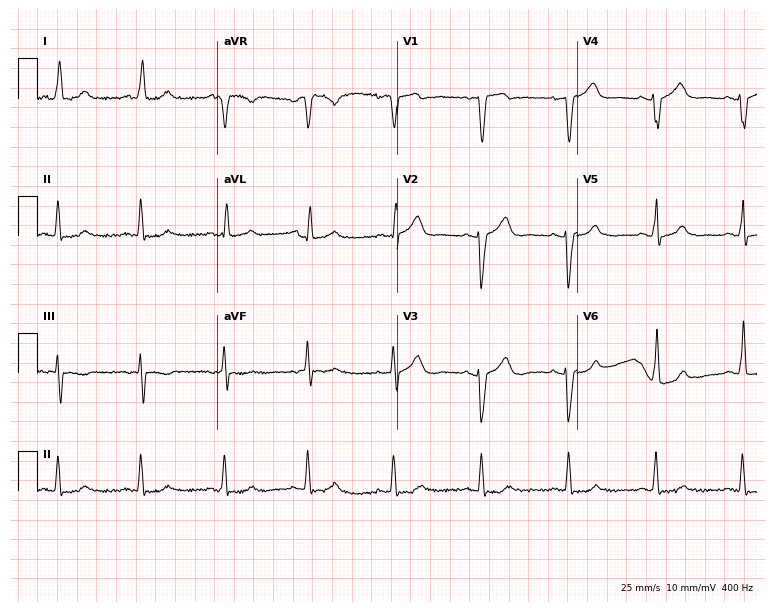
12-lead ECG from a female patient, 69 years old (7.3-second recording at 400 Hz). No first-degree AV block, right bundle branch block, left bundle branch block, sinus bradycardia, atrial fibrillation or sinus tachycardia recorded for this tracing.